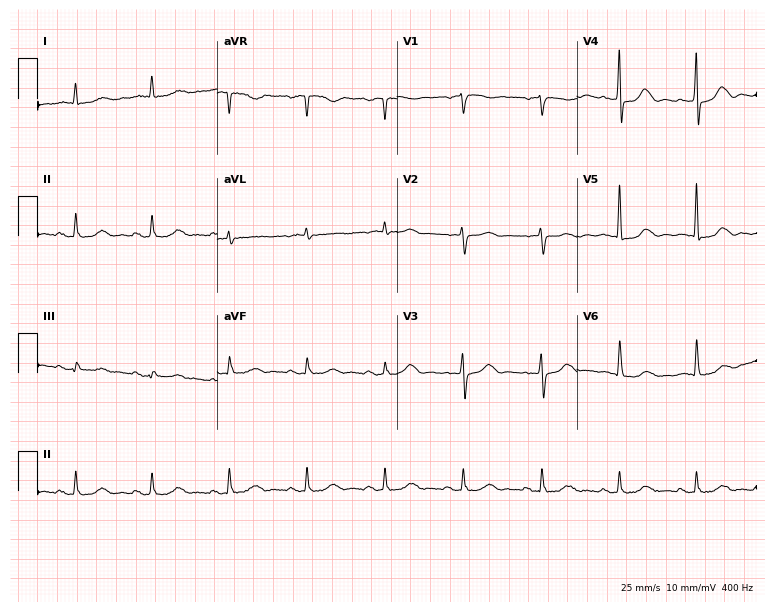
12-lead ECG (7.3-second recording at 400 Hz) from an 81-year-old female. Screened for six findings — first-degree AV block, right bundle branch block, left bundle branch block, sinus bradycardia, atrial fibrillation, sinus tachycardia — none is recorded. Only these six findings were labelled.